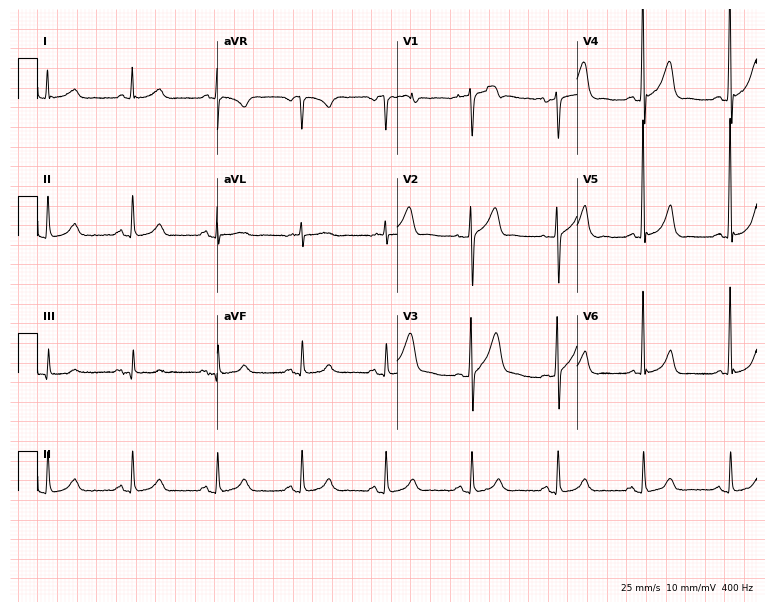
12-lead ECG from a male, 71 years old (7.3-second recording at 400 Hz). No first-degree AV block, right bundle branch block, left bundle branch block, sinus bradycardia, atrial fibrillation or sinus tachycardia recorded for this tracing. Other findings, if any, are not listed.